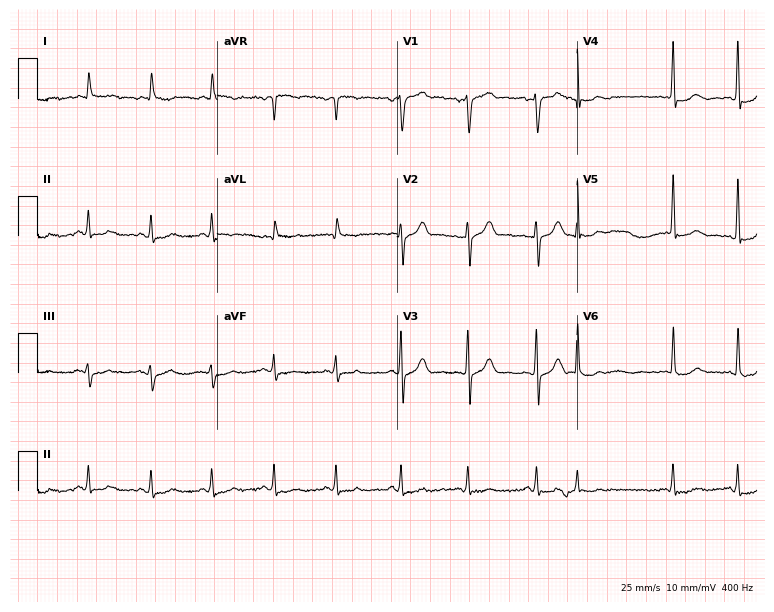
12-lead ECG from a 79-year-old male patient. Screened for six findings — first-degree AV block, right bundle branch block, left bundle branch block, sinus bradycardia, atrial fibrillation, sinus tachycardia — none is recorded. Findings outside these six are not listed.